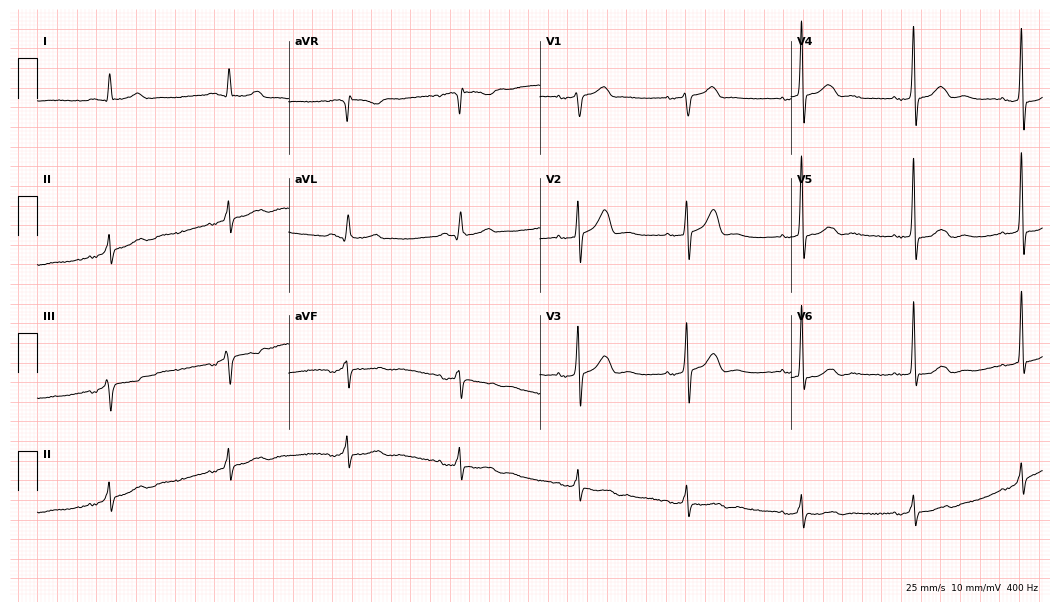
Resting 12-lead electrocardiogram. Patient: a male, 75 years old. Read as a normal ECG.